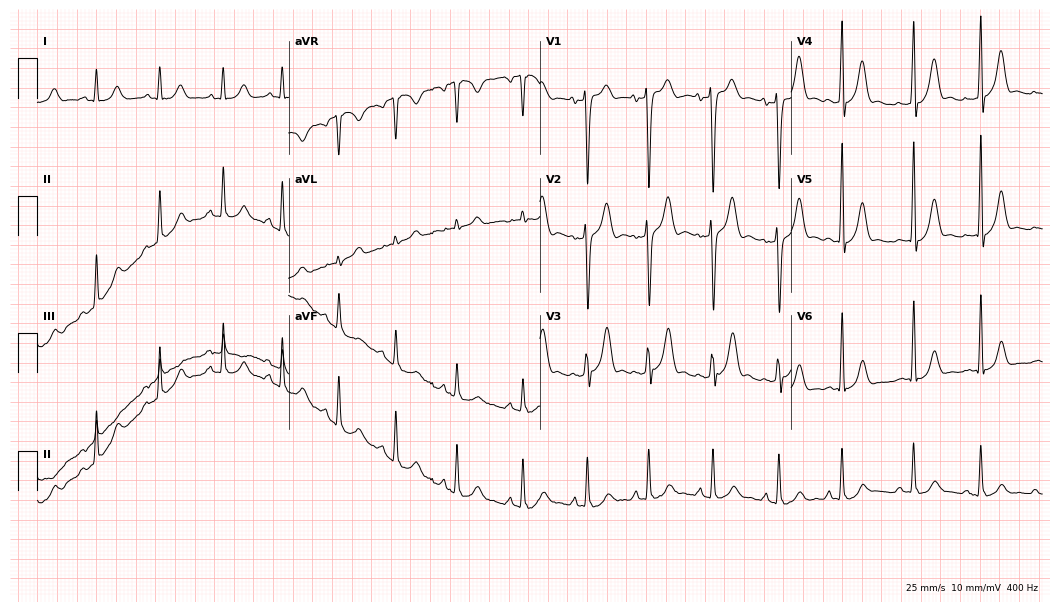
12-lead ECG from a 17-year-old male patient. Labelled as a normal ECG.